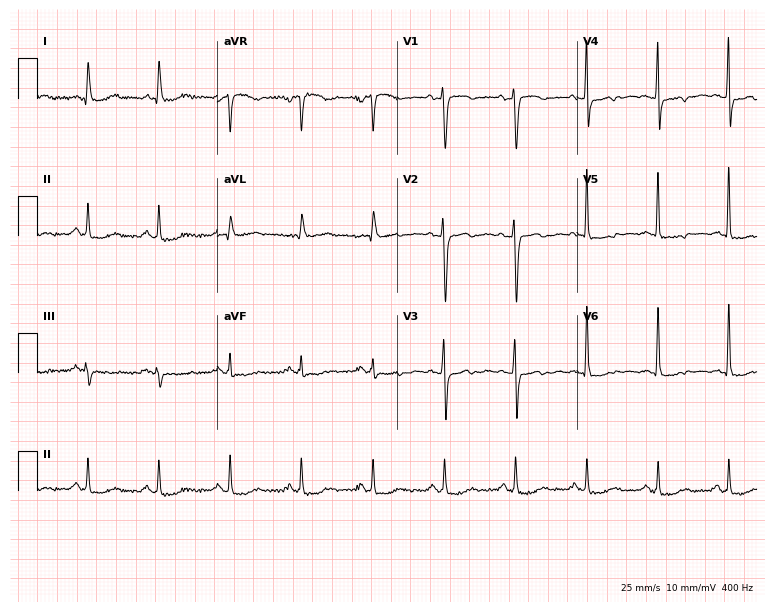
Electrocardiogram (7.3-second recording at 400 Hz), a female, 65 years old. Of the six screened findings (first-degree AV block, right bundle branch block (RBBB), left bundle branch block (LBBB), sinus bradycardia, atrial fibrillation (AF), sinus tachycardia), none is recorded. Other findings, if any, are not listed.